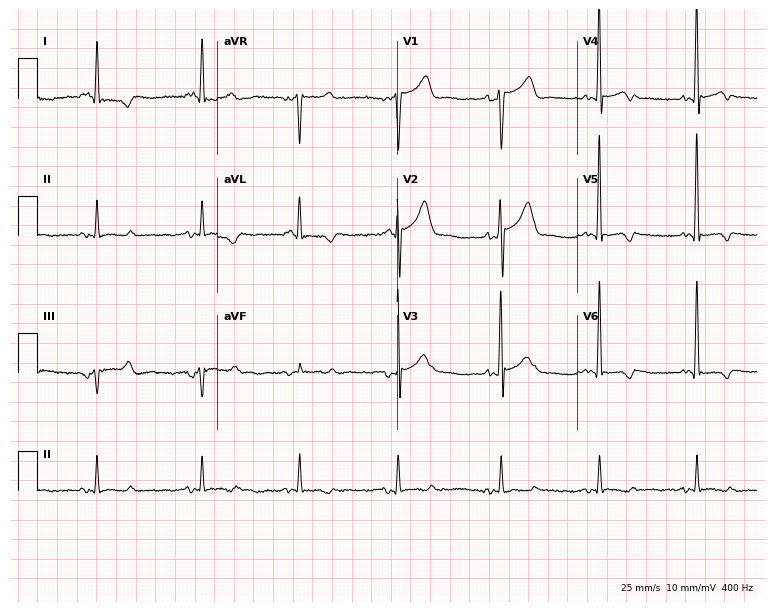
Resting 12-lead electrocardiogram (7.3-second recording at 400 Hz). Patient: a 65-year-old male. None of these six findings is recorded: first-degree AV block, right bundle branch block (RBBB), left bundle branch block (LBBB), sinus bradycardia, atrial fibrillation (AF), sinus tachycardia.